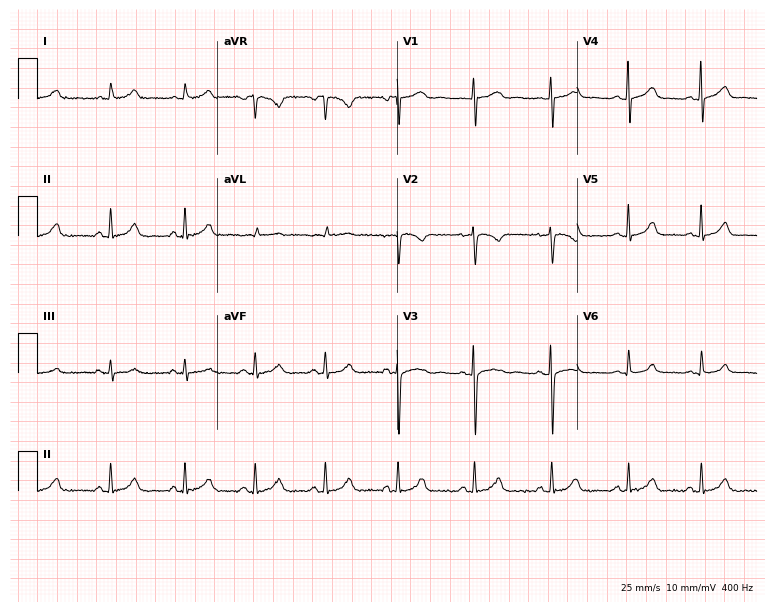
ECG (7.3-second recording at 400 Hz) — a woman, 22 years old. Labelled as a normal ECG.